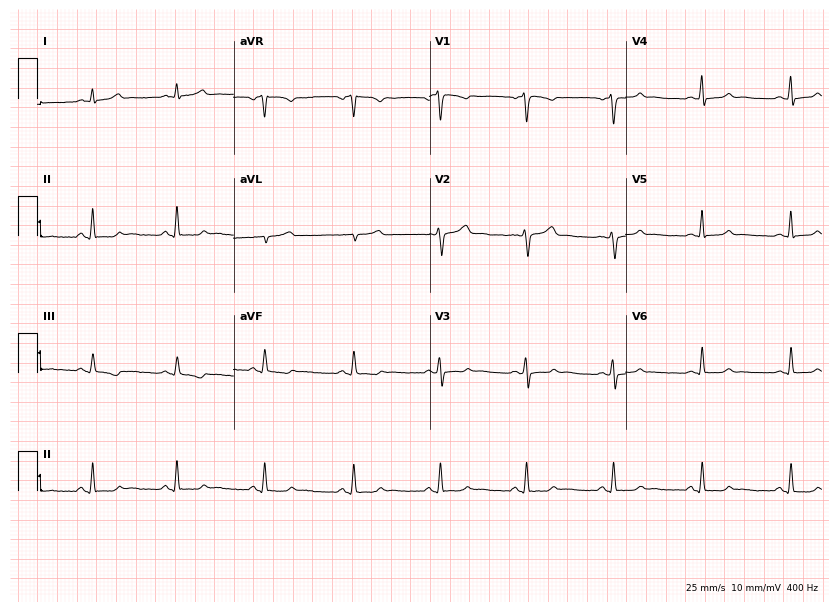
ECG — a woman, 30 years old. Labelled as a normal ECG.